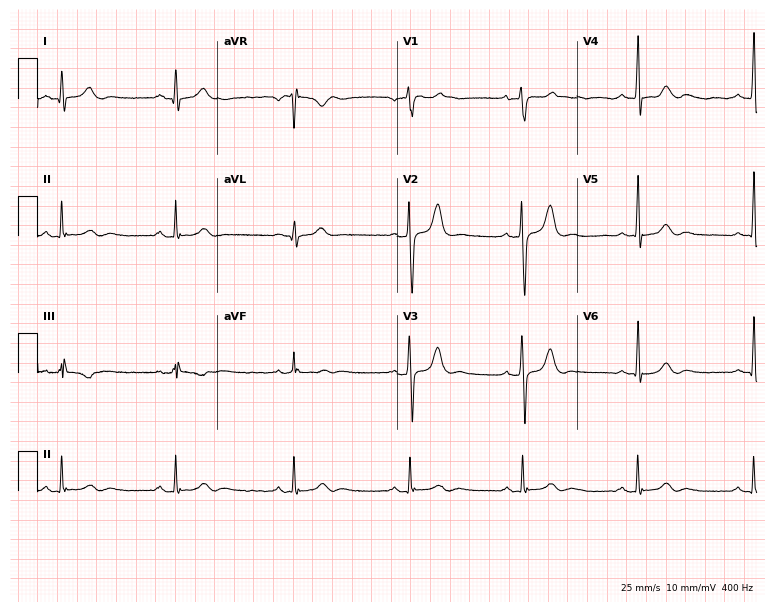
12-lead ECG from a man, 38 years old (7.3-second recording at 400 Hz). No first-degree AV block, right bundle branch block, left bundle branch block, sinus bradycardia, atrial fibrillation or sinus tachycardia recorded for this tracing.